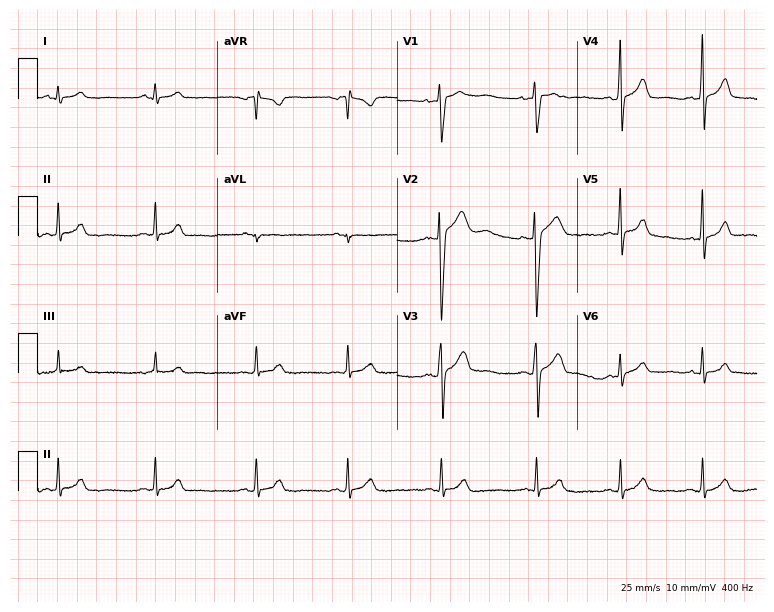
Standard 12-lead ECG recorded from a 19-year-old male (7.3-second recording at 400 Hz). None of these six findings is recorded: first-degree AV block, right bundle branch block (RBBB), left bundle branch block (LBBB), sinus bradycardia, atrial fibrillation (AF), sinus tachycardia. Only these six findings were labelled.